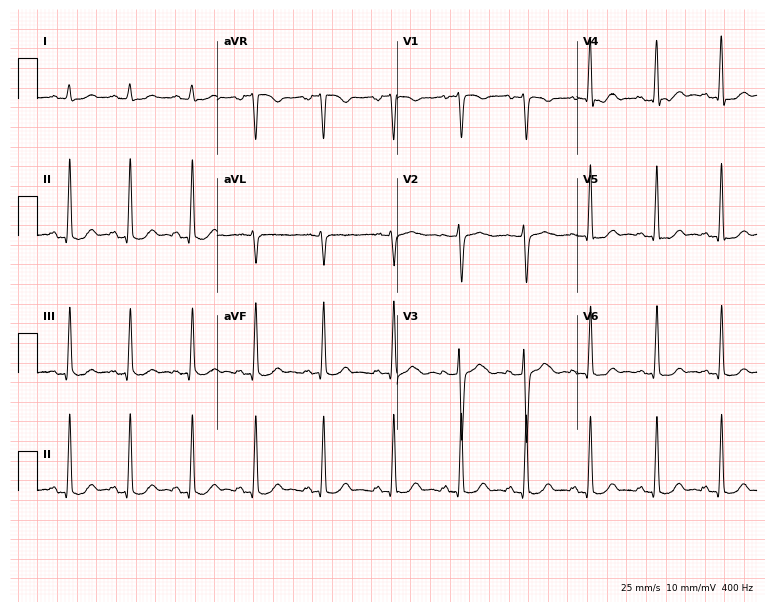
Electrocardiogram, a 24-year-old woman. Of the six screened findings (first-degree AV block, right bundle branch block (RBBB), left bundle branch block (LBBB), sinus bradycardia, atrial fibrillation (AF), sinus tachycardia), none is recorded. Other findings, if any, are not listed.